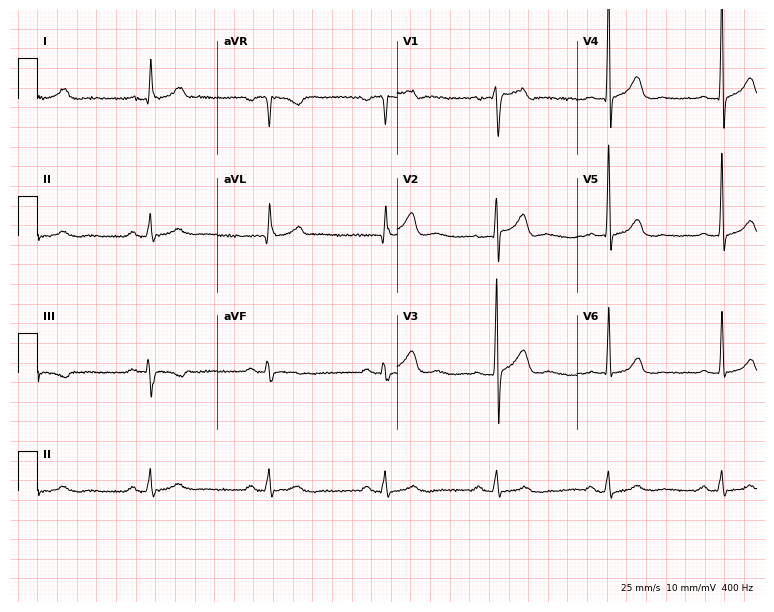
12-lead ECG (7.3-second recording at 400 Hz) from a 55-year-old man. Labelled as a normal ECG.